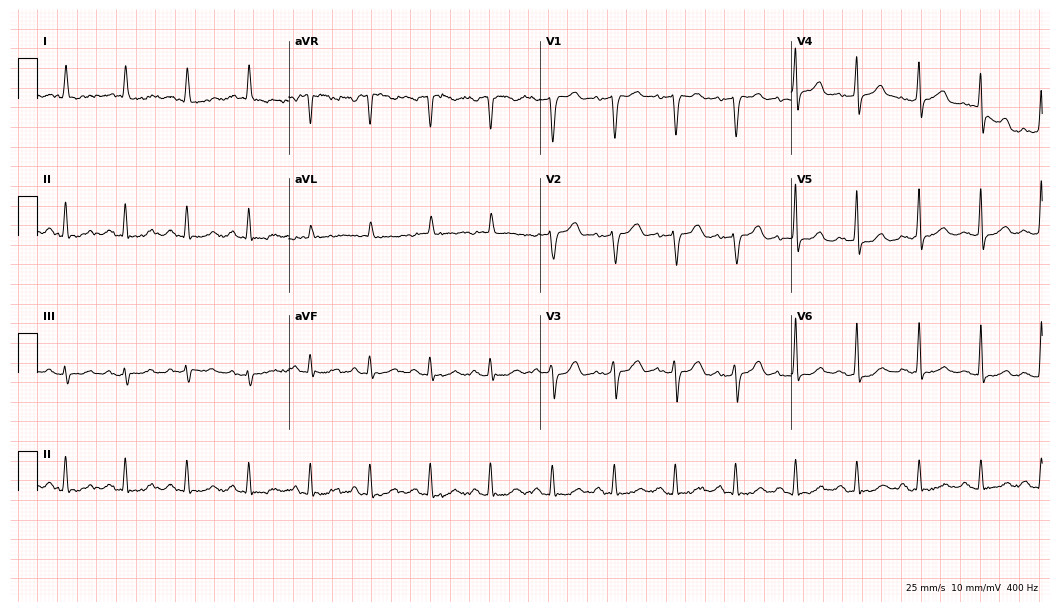
12-lead ECG from a female patient, 84 years old. Screened for six findings — first-degree AV block, right bundle branch block (RBBB), left bundle branch block (LBBB), sinus bradycardia, atrial fibrillation (AF), sinus tachycardia — none is recorded.